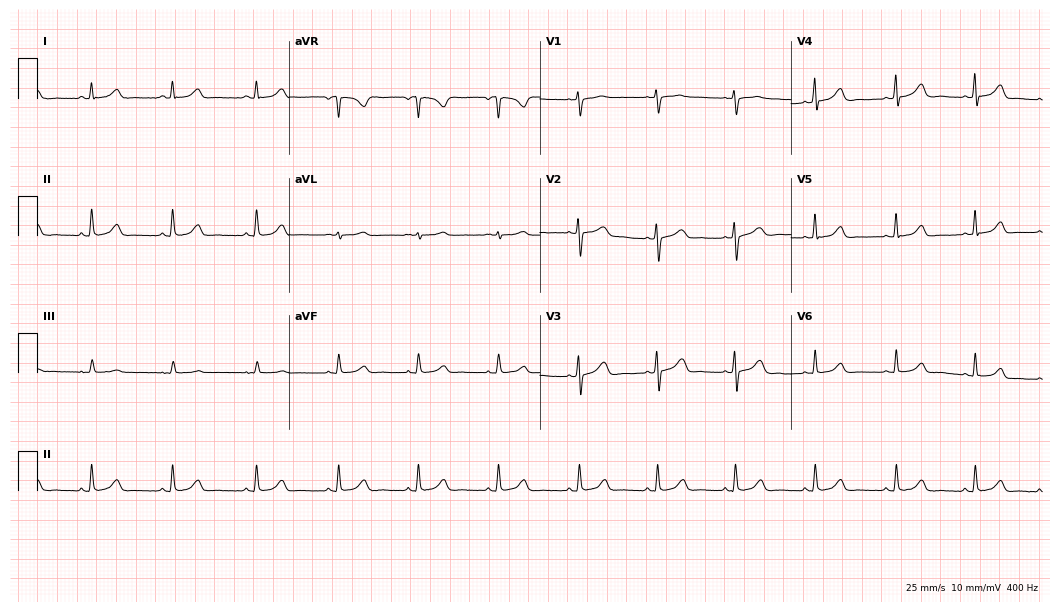
Standard 12-lead ECG recorded from a 29-year-old female patient. Read as a normal ECG.